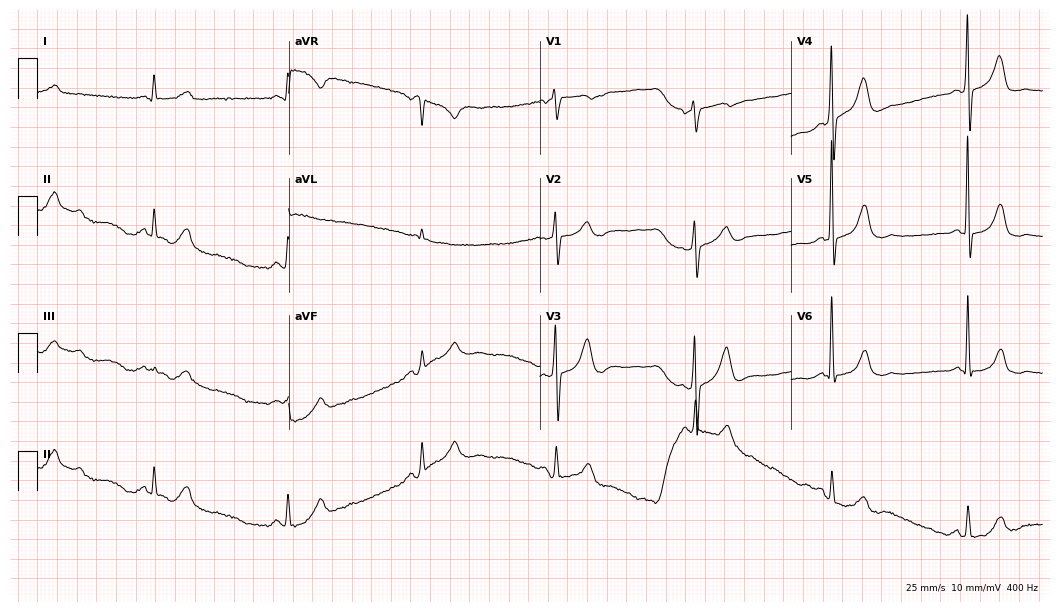
Standard 12-lead ECG recorded from a male, 83 years old (10.2-second recording at 400 Hz). The tracing shows sinus bradycardia (a sinus rate of 50 beats per minute or less).